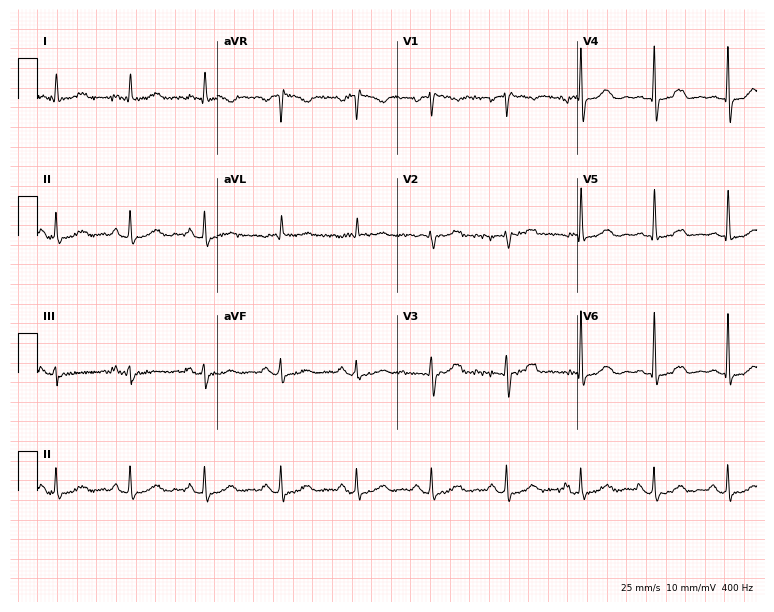
ECG — a 53-year-old female. Screened for six findings — first-degree AV block, right bundle branch block (RBBB), left bundle branch block (LBBB), sinus bradycardia, atrial fibrillation (AF), sinus tachycardia — none is recorded.